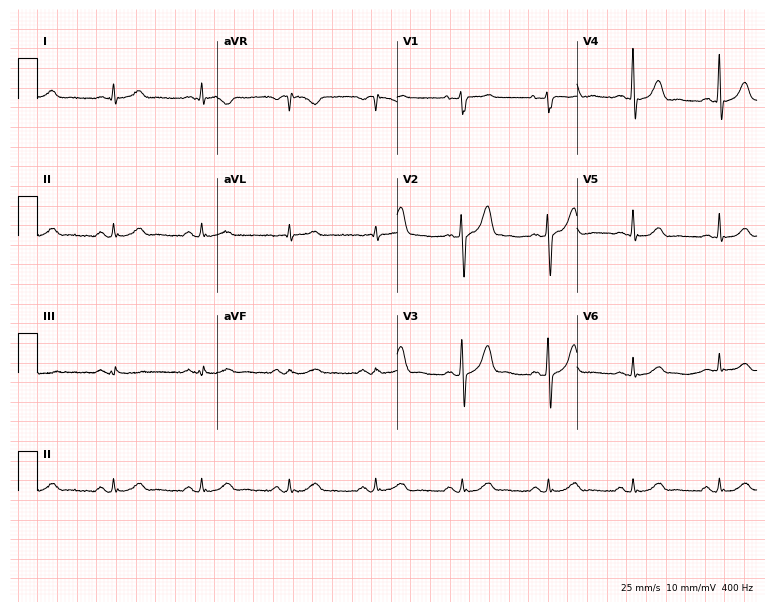
12-lead ECG (7.3-second recording at 400 Hz) from a man, 79 years old. Screened for six findings — first-degree AV block, right bundle branch block (RBBB), left bundle branch block (LBBB), sinus bradycardia, atrial fibrillation (AF), sinus tachycardia — none is recorded. Only these six findings were labelled.